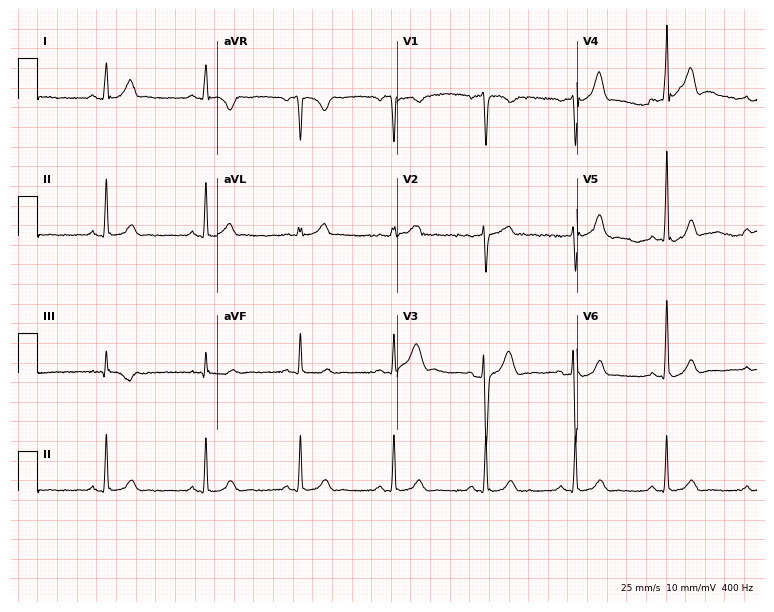
Standard 12-lead ECG recorded from a male, 29 years old (7.3-second recording at 400 Hz). Read as a normal ECG.